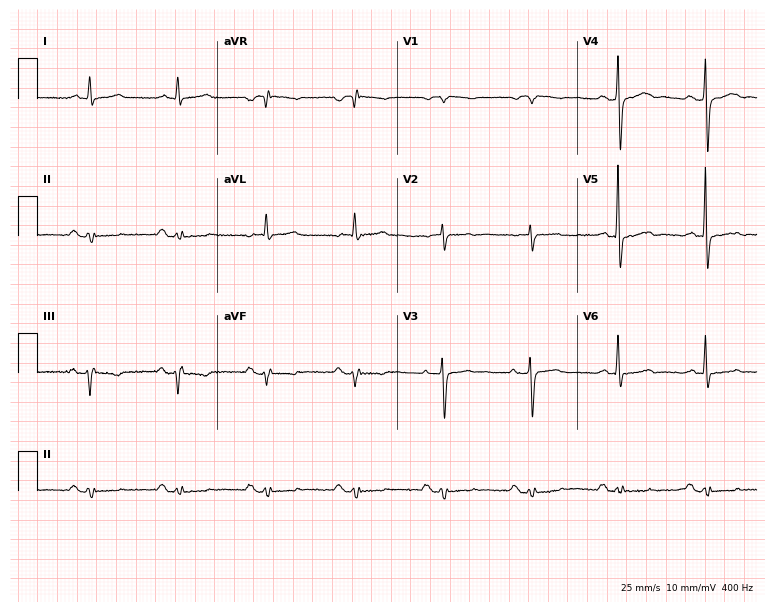
12-lead ECG from a female, 66 years old (7.3-second recording at 400 Hz). No first-degree AV block, right bundle branch block, left bundle branch block, sinus bradycardia, atrial fibrillation or sinus tachycardia recorded for this tracing.